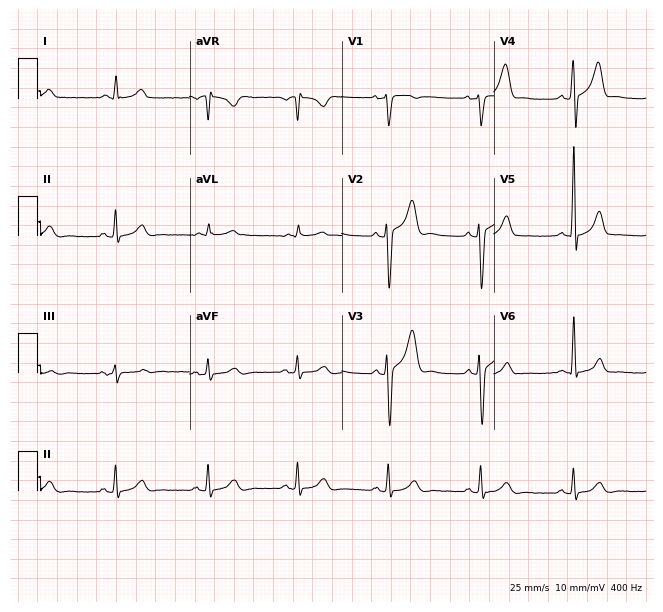
Electrocardiogram, a 34-year-old man. Of the six screened findings (first-degree AV block, right bundle branch block (RBBB), left bundle branch block (LBBB), sinus bradycardia, atrial fibrillation (AF), sinus tachycardia), none is recorded.